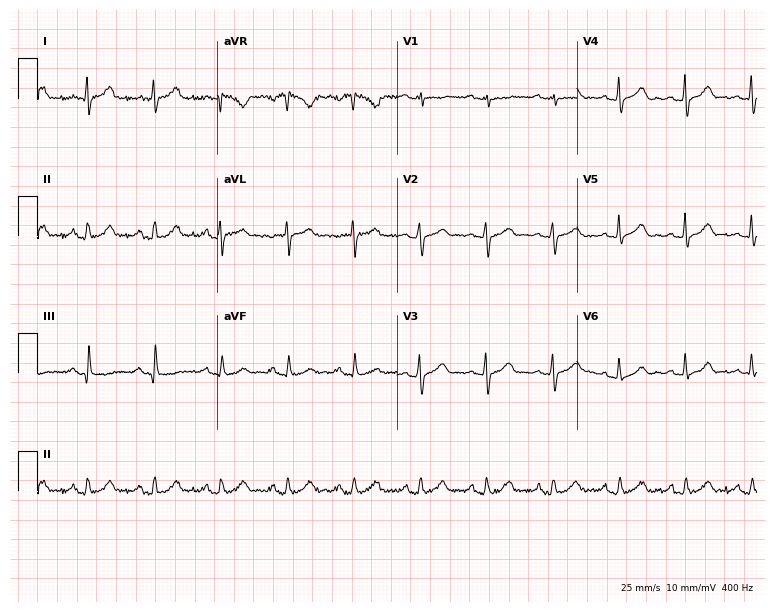
Standard 12-lead ECG recorded from a man, 43 years old (7.3-second recording at 400 Hz). Read as a normal ECG.